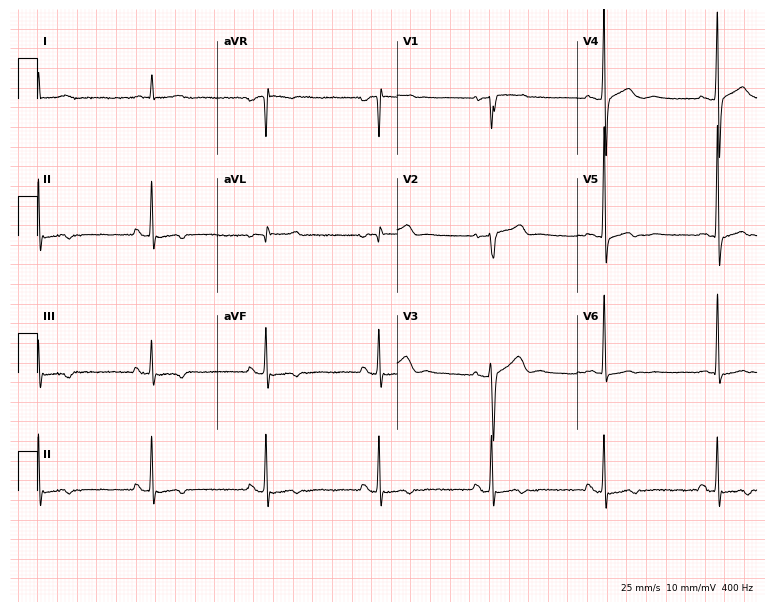
Electrocardiogram, a 72-year-old male. Overall reading on record: normal ECG.